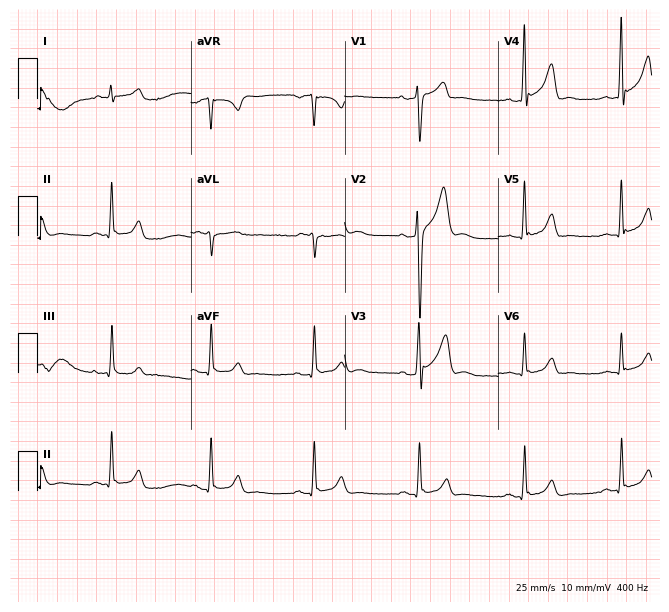
Resting 12-lead electrocardiogram (6.3-second recording at 400 Hz). Patient: a male, 45 years old. None of these six findings is recorded: first-degree AV block, right bundle branch block (RBBB), left bundle branch block (LBBB), sinus bradycardia, atrial fibrillation (AF), sinus tachycardia.